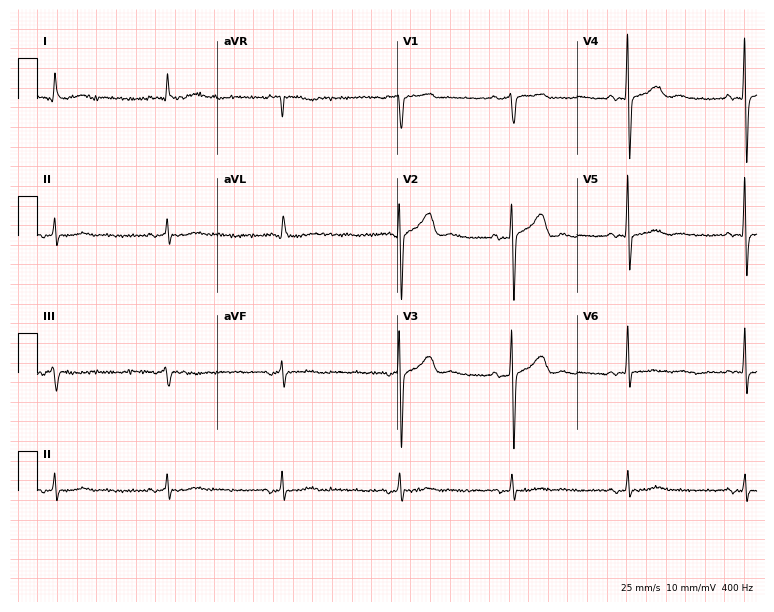
Electrocardiogram, a 79-year-old man. Overall reading on record: normal ECG.